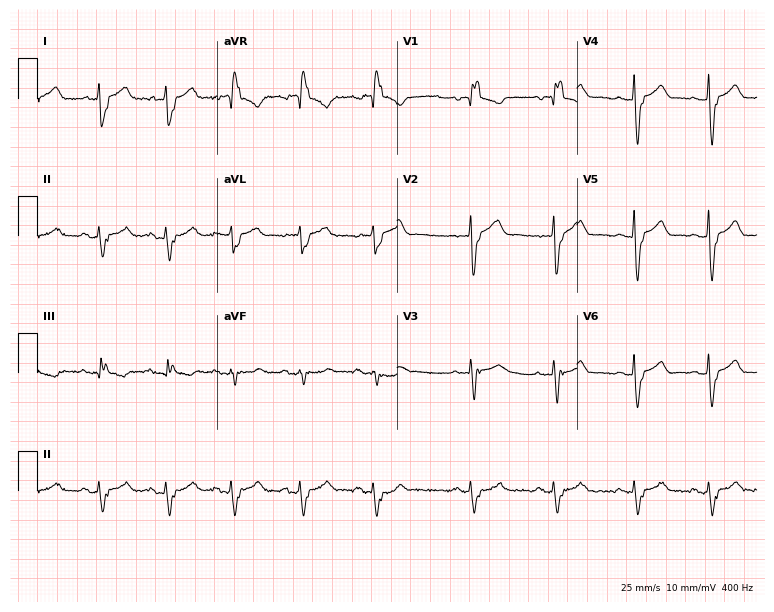
Standard 12-lead ECG recorded from an 84-year-old female. The tracing shows right bundle branch block.